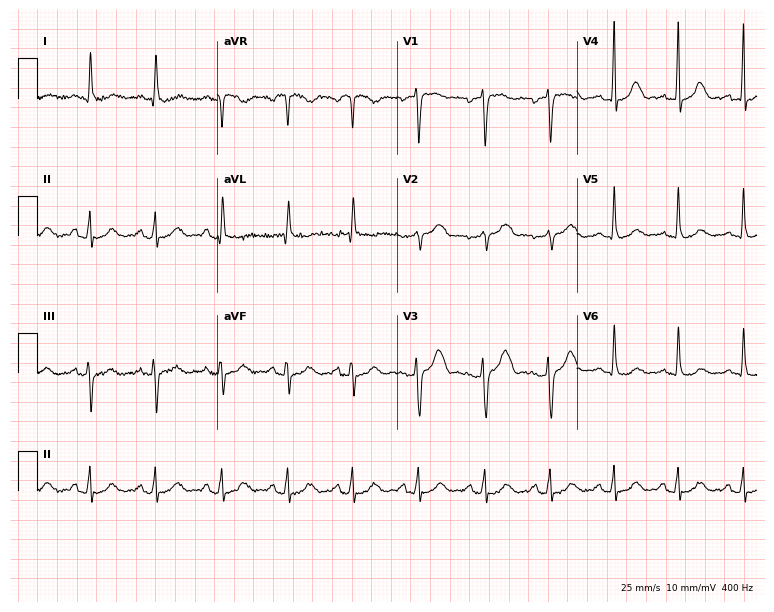
Electrocardiogram, an 81-year-old woman. Of the six screened findings (first-degree AV block, right bundle branch block, left bundle branch block, sinus bradycardia, atrial fibrillation, sinus tachycardia), none is recorded. Only these six findings were labelled.